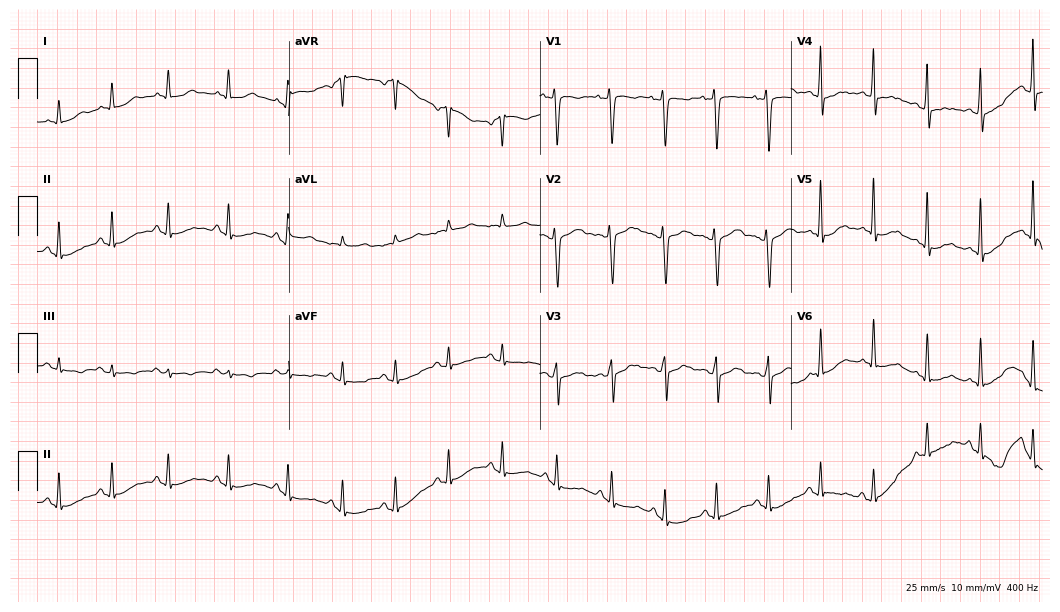
Resting 12-lead electrocardiogram (10.2-second recording at 400 Hz). Patient: a female, 29 years old. None of these six findings is recorded: first-degree AV block, right bundle branch block, left bundle branch block, sinus bradycardia, atrial fibrillation, sinus tachycardia.